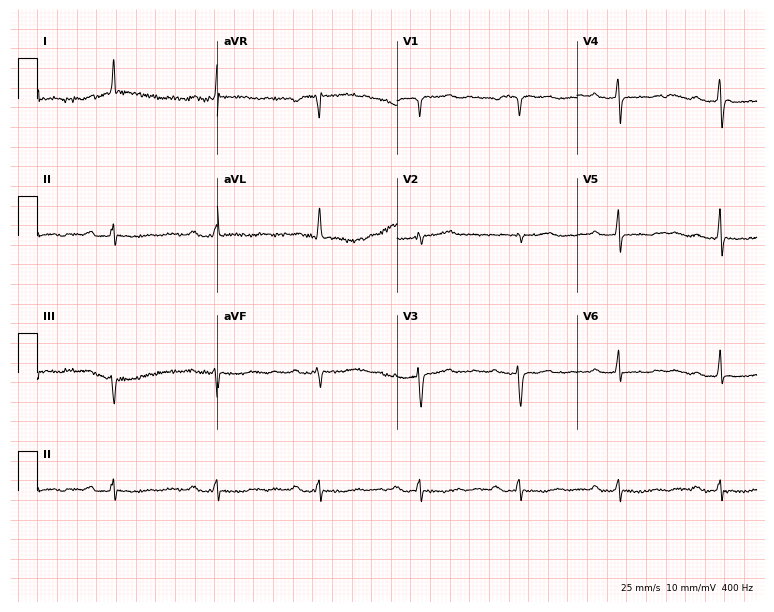
Resting 12-lead electrocardiogram (7.3-second recording at 400 Hz). Patient: an 82-year-old female. The tracing shows first-degree AV block.